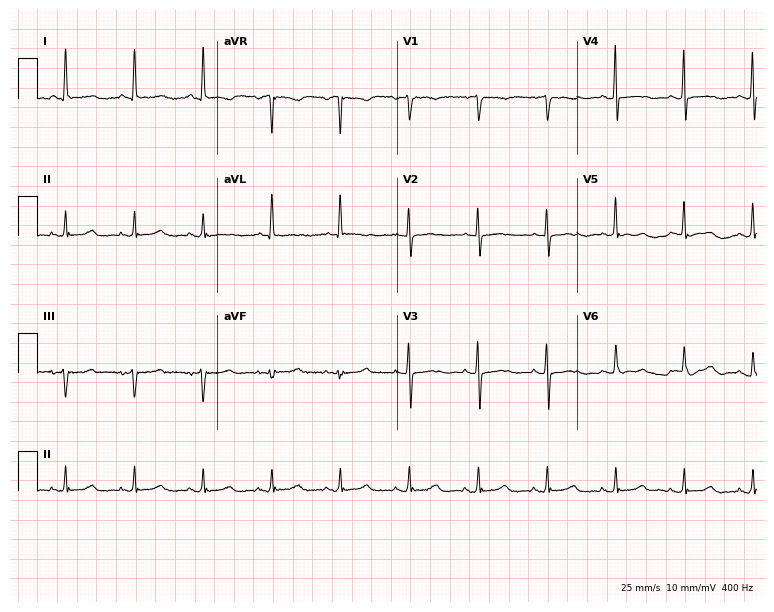
ECG (7.3-second recording at 400 Hz) — a female patient, 84 years old. Screened for six findings — first-degree AV block, right bundle branch block (RBBB), left bundle branch block (LBBB), sinus bradycardia, atrial fibrillation (AF), sinus tachycardia — none is recorded.